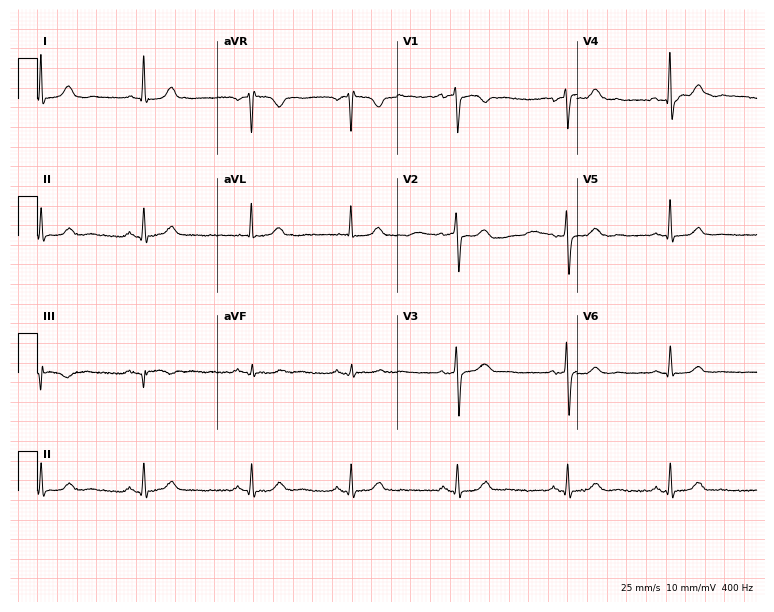
12-lead ECG from a 49-year-old female patient. Recorded interpretation: within normal limits.